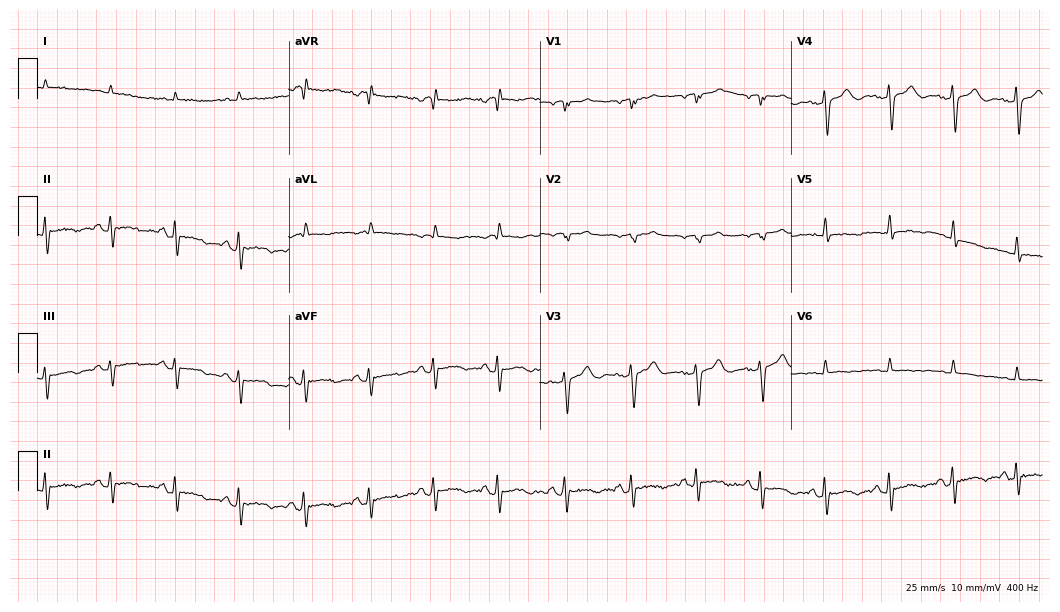
Electrocardiogram (10.2-second recording at 400 Hz), a man, 64 years old. Of the six screened findings (first-degree AV block, right bundle branch block (RBBB), left bundle branch block (LBBB), sinus bradycardia, atrial fibrillation (AF), sinus tachycardia), none is recorded. Findings outside these six are not listed.